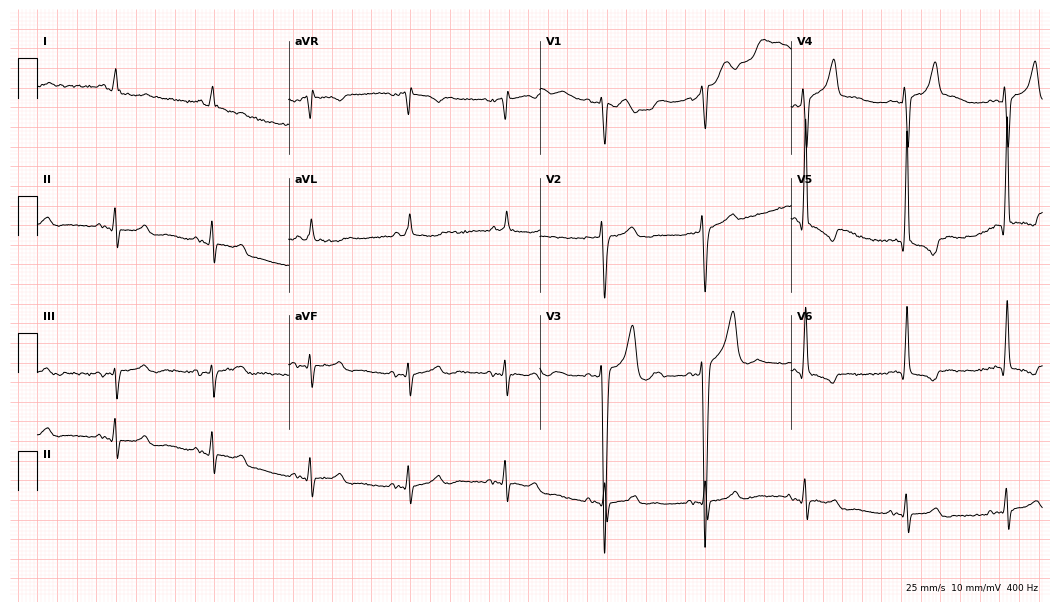
Resting 12-lead electrocardiogram. Patient: a 62-year-old male. None of these six findings is recorded: first-degree AV block, right bundle branch block, left bundle branch block, sinus bradycardia, atrial fibrillation, sinus tachycardia.